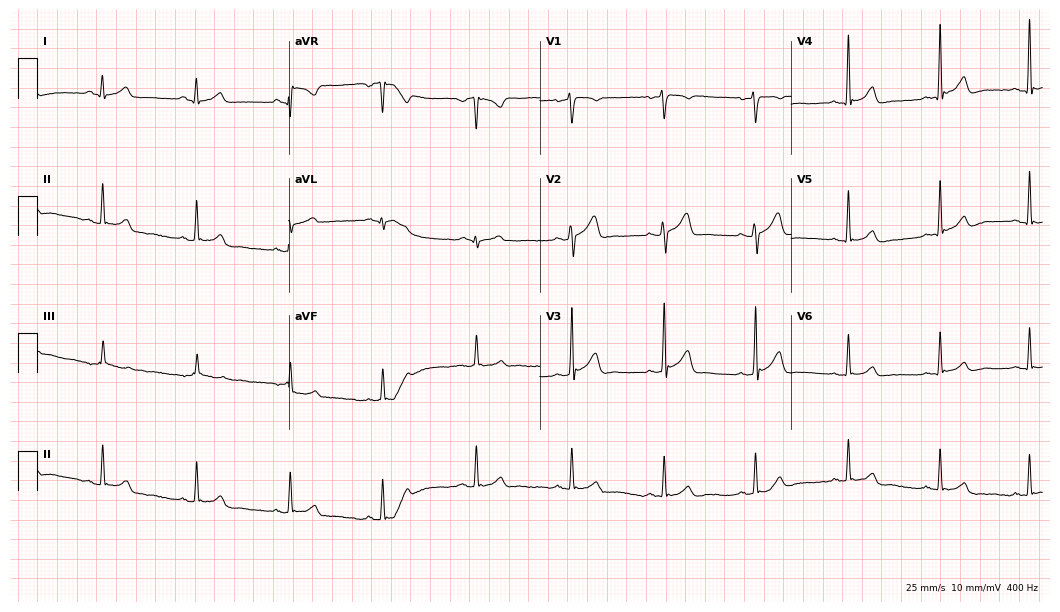
12-lead ECG (10.2-second recording at 400 Hz) from a man, 30 years old. Labelled as a normal ECG.